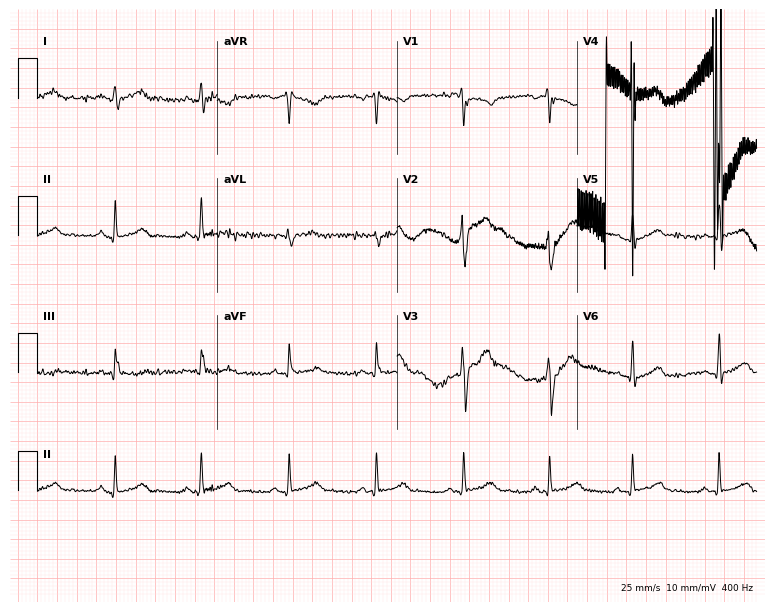
12-lead ECG from a male patient, 25 years old (7.3-second recording at 400 Hz). No first-degree AV block, right bundle branch block (RBBB), left bundle branch block (LBBB), sinus bradycardia, atrial fibrillation (AF) or sinus tachycardia recorded for this tracing. Findings outside these six are not listed.